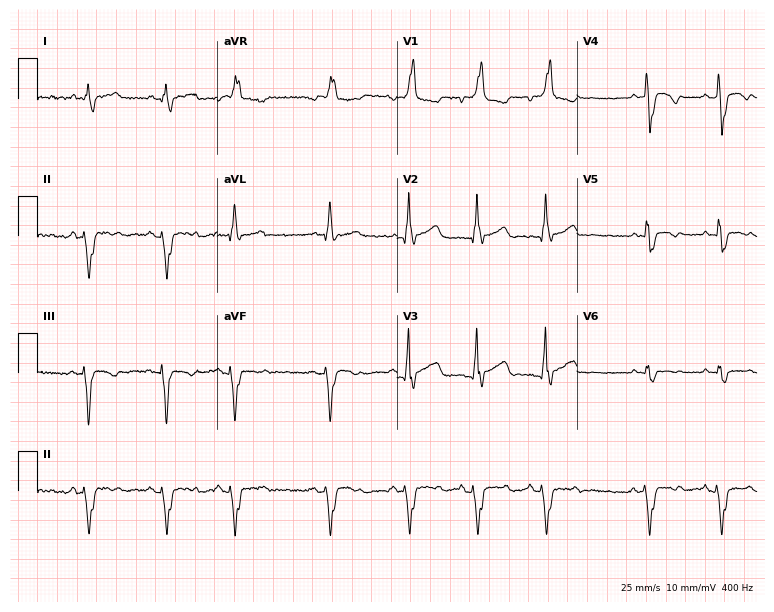
12-lead ECG (7.3-second recording at 400 Hz) from a 56-year-old man. Findings include right bundle branch block (RBBB).